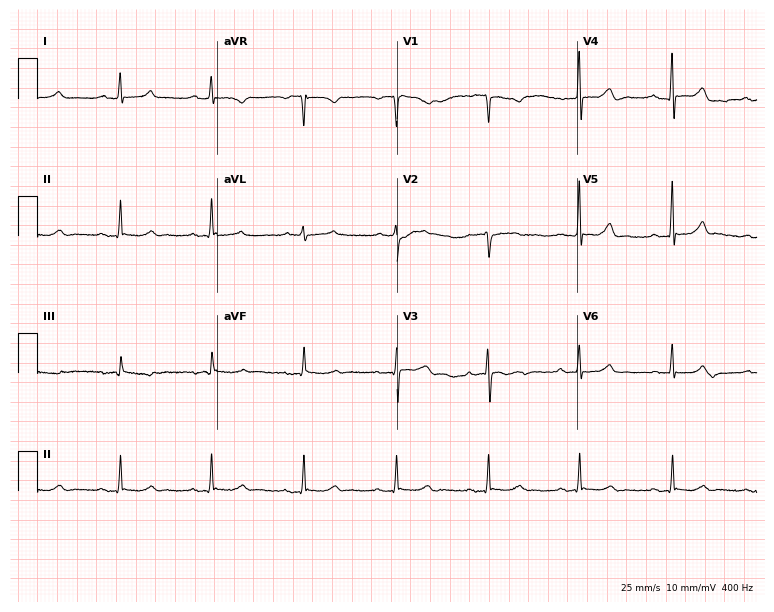
Standard 12-lead ECG recorded from a male patient, 76 years old (7.3-second recording at 400 Hz). Read as a normal ECG.